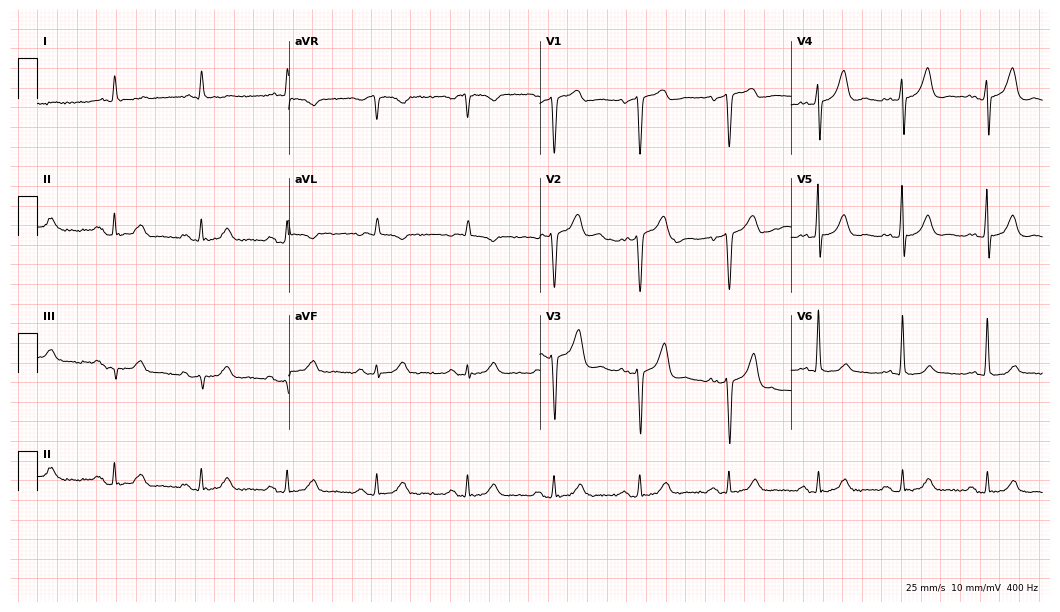
12-lead ECG from an 80-year-old man. Screened for six findings — first-degree AV block, right bundle branch block, left bundle branch block, sinus bradycardia, atrial fibrillation, sinus tachycardia — none is recorded.